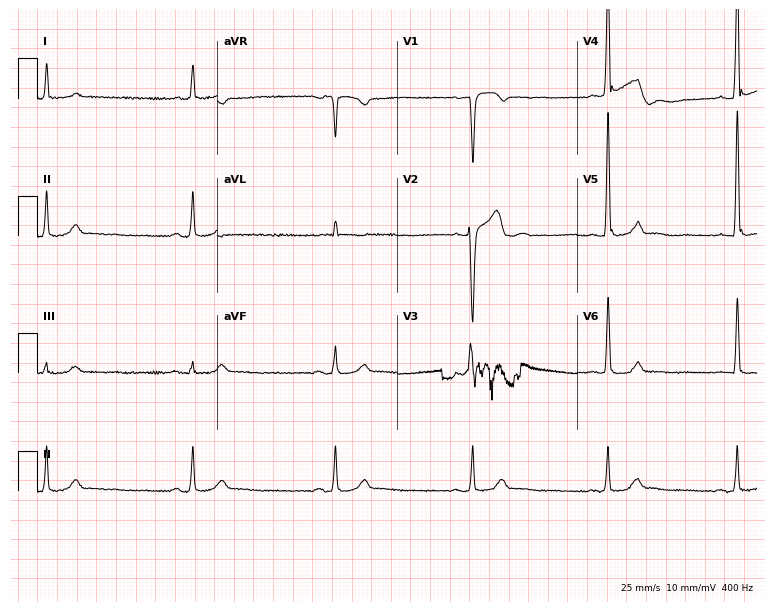
Electrocardiogram, a 74-year-old male patient. Interpretation includes sinus bradycardia (a sinus rate of 50 beats per minute or less).